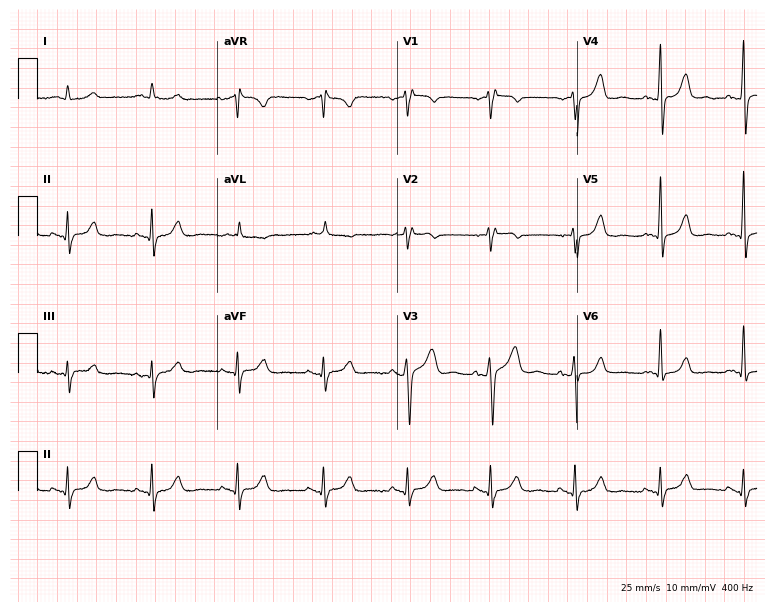
12-lead ECG (7.3-second recording at 400 Hz) from a 59-year-old male. Screened for six findings — first-degree AV block, right bundle branch block, left bundle branch block, sinus bradycardia, atrial fibrillation, sinus tachycardia — none is recorded.